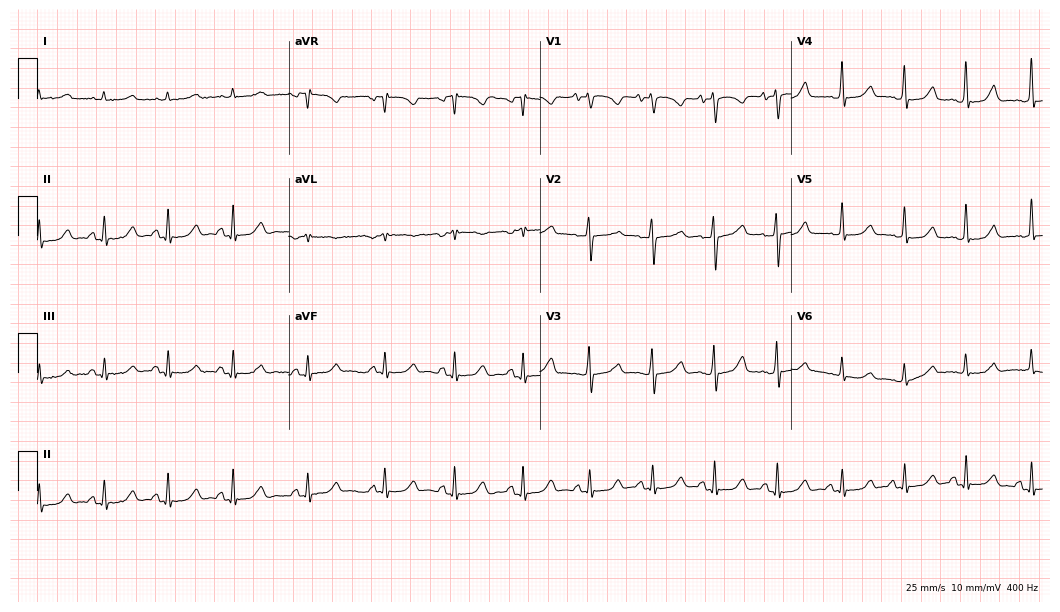
Electrocardiogram (10.2-second recording at 400 Hz), a woman, 55 years old. Overall reading on record: normal ECG.